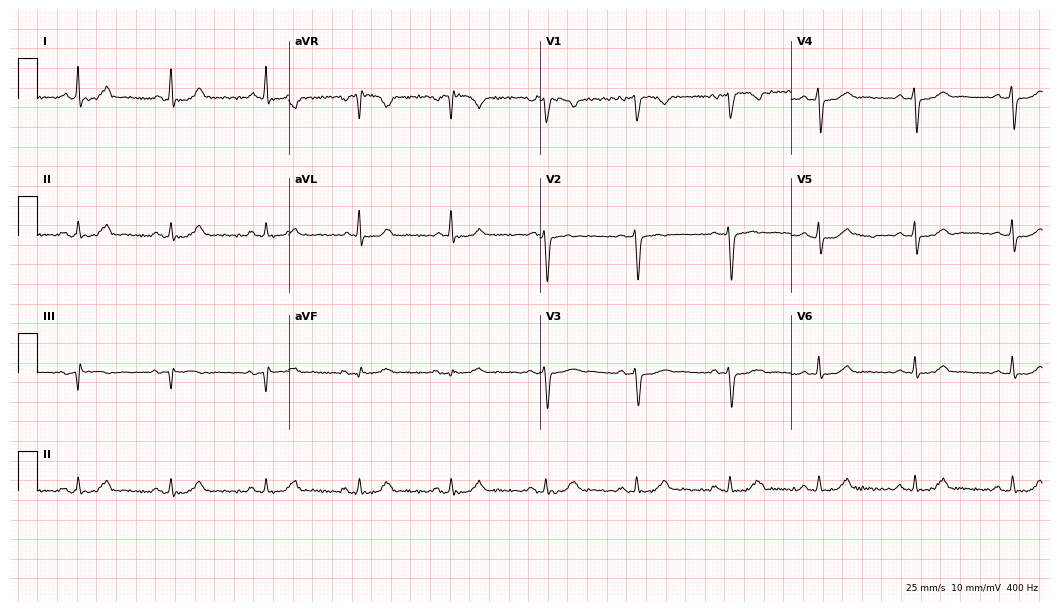
Standard 12-lead ECG recorded from a female, 38 years old (10.2-second recording at 400 Hz). None of these six findings is recorded: first-degree AV block, right bundle branch block (RBBB), left bundle branch block (LBBB), sinus bradycardia, atrial fibrillation (AF), sinus tachycardia. Other findings, if any, are not listed.